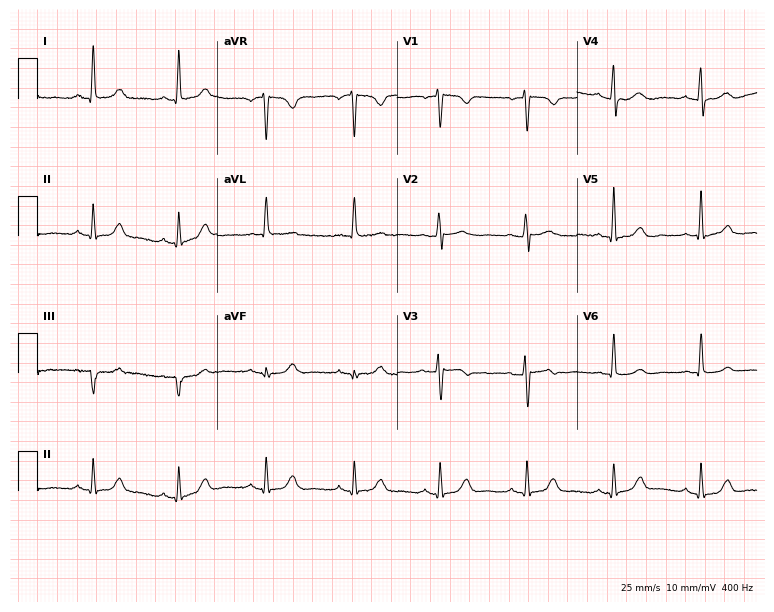
12-lead ECG from a female, 61 years old. Labelled as a normal ECG.